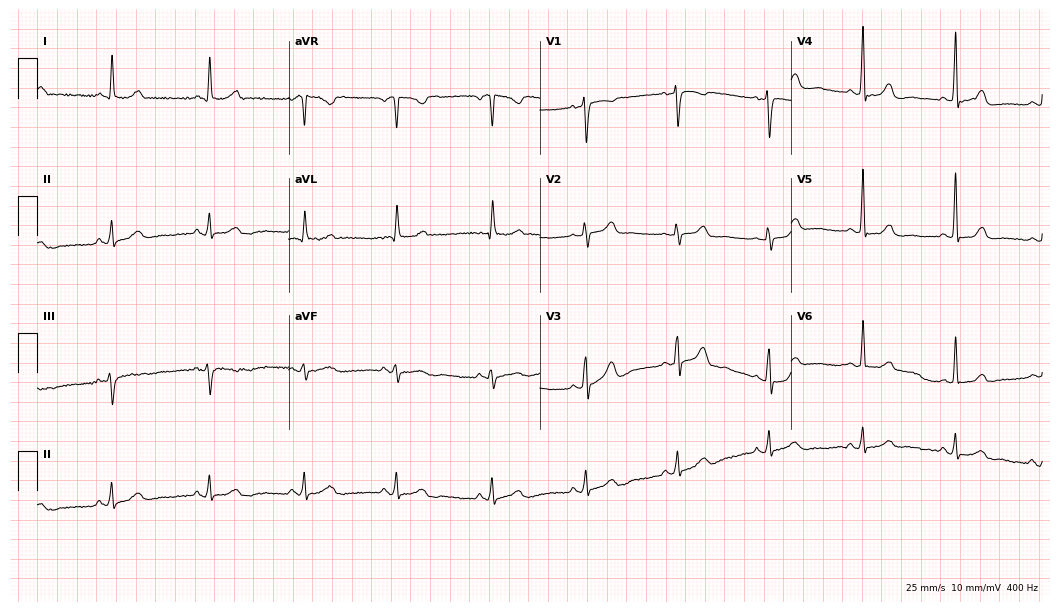
12-lead ECG from a 64-year-old female patient. Recorded interpretation: within normal limits.